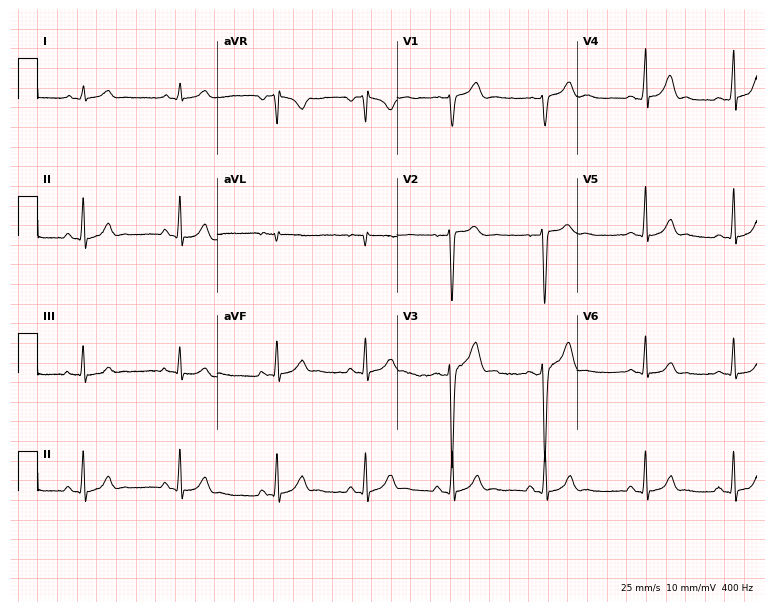
Resting 12-lead electrocardiogram. Patient: a male, 20 years old. None of these six findings is recorded: first-degree AV block, right bundle branch block (RBBB), left bundle branch block (LBBB), sinus bradycardia, atrial fibrillation (AF), sinus tachycardia.